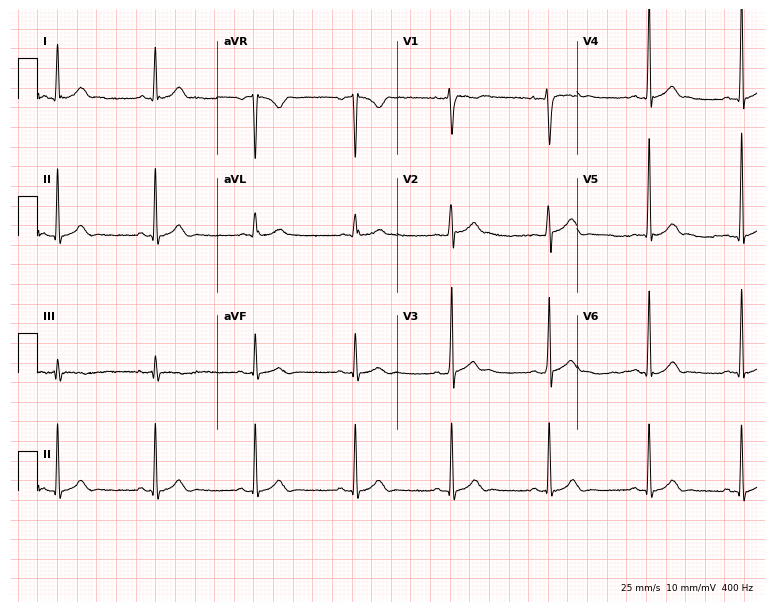
Standard 12-lead ECG recorded from a male, 23 years old (7.3-second recording at 400 Hz). Read as a normal ECG.